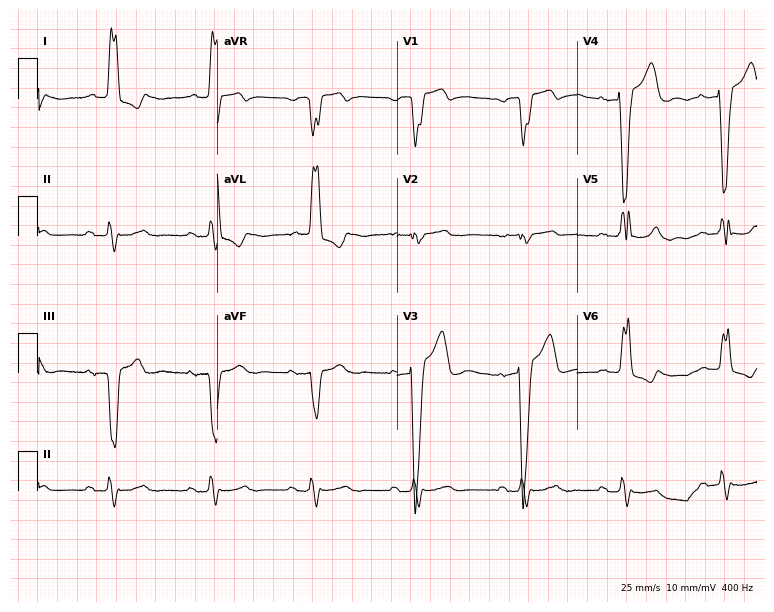
Standard 12-lead ECG recorded from a female patient, 82 years old. The tracing shows left bundle branch block (LBBB).